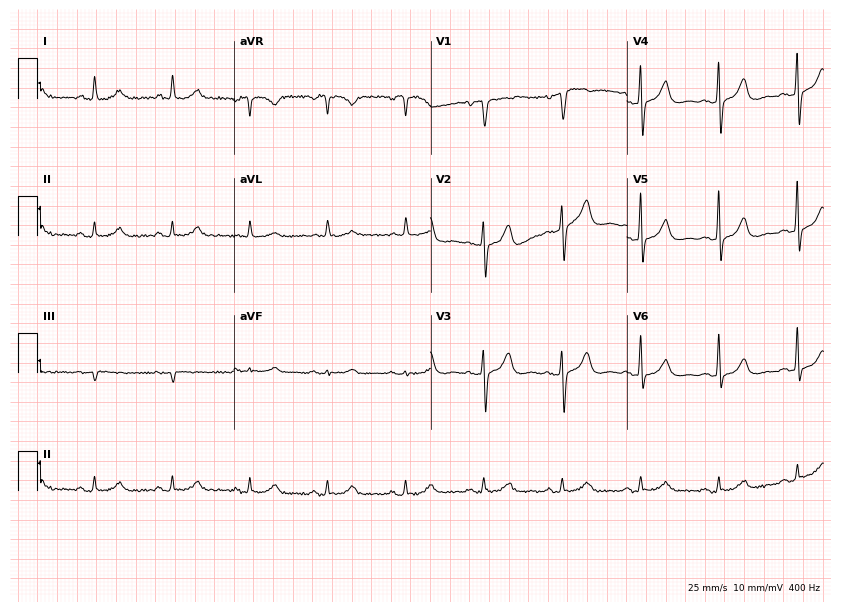
12-lead ECG from a 76-year-old female patient. Recorded interpretation: within normal limits.